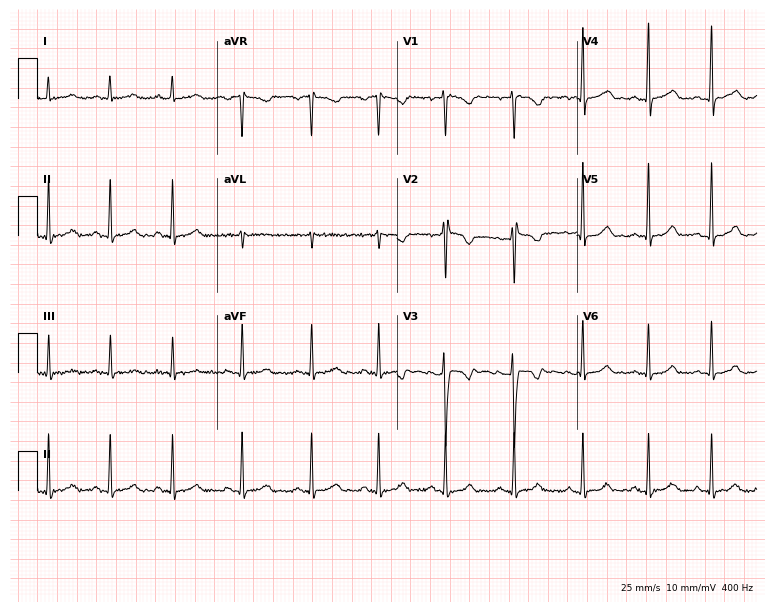
ECG (7.3-second recording at 400 Hz) — a woman, 21 years old. Screened for six findings — first-degree AV block, right bundle branch block, left bundle branch block, sinus bradycardia, atrial fibrillation, sinus tachycardia — none is recorded. Findings outside these six are not listed.